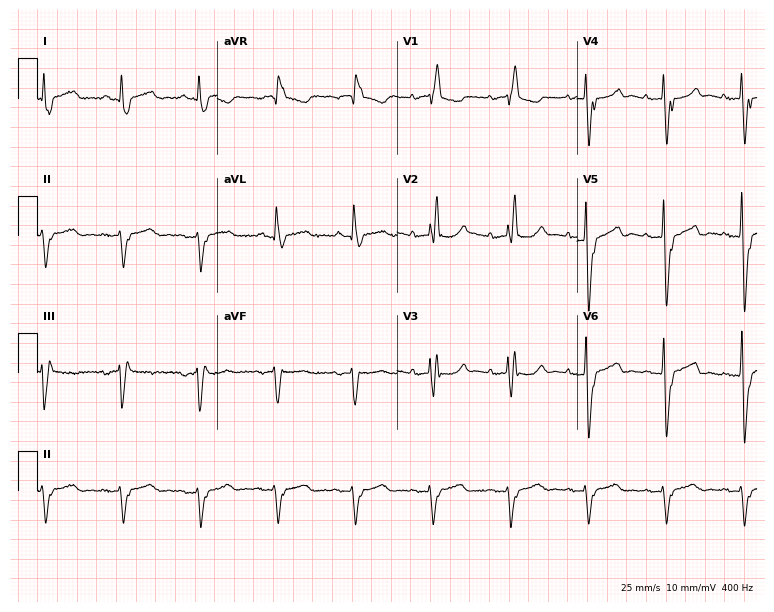
Standard 12-lead ECG recorded from a 77-year-old man (7.3-second recording at 400 Hz). The tracing shows right bundle branch block (RBBB).